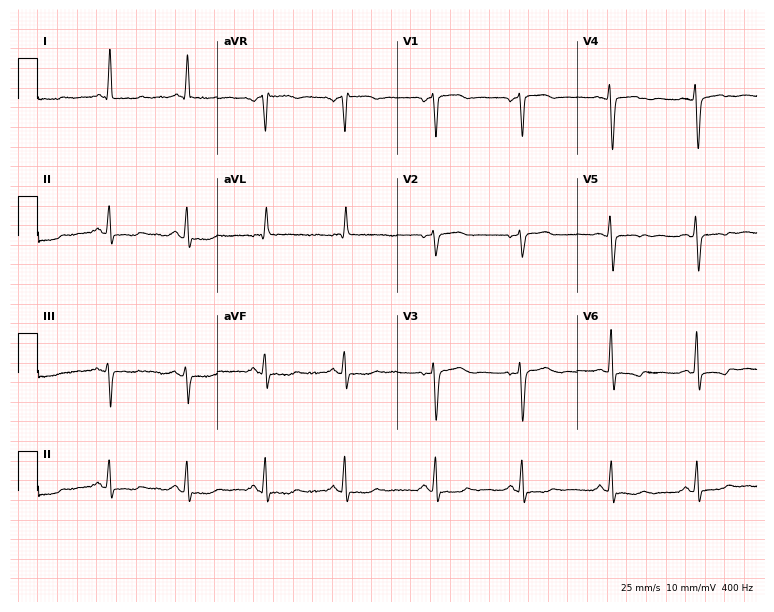
Resting 12-lead electrocardiogram (7.3-second recording at 400 Hz). Patient: a 68-year-old woman. None of these six findings is recorded: first-degree AV block, right bundle branch block, left bundle branch block, sinus bradycardia, atrial fibrillation, sinus tachycardia.